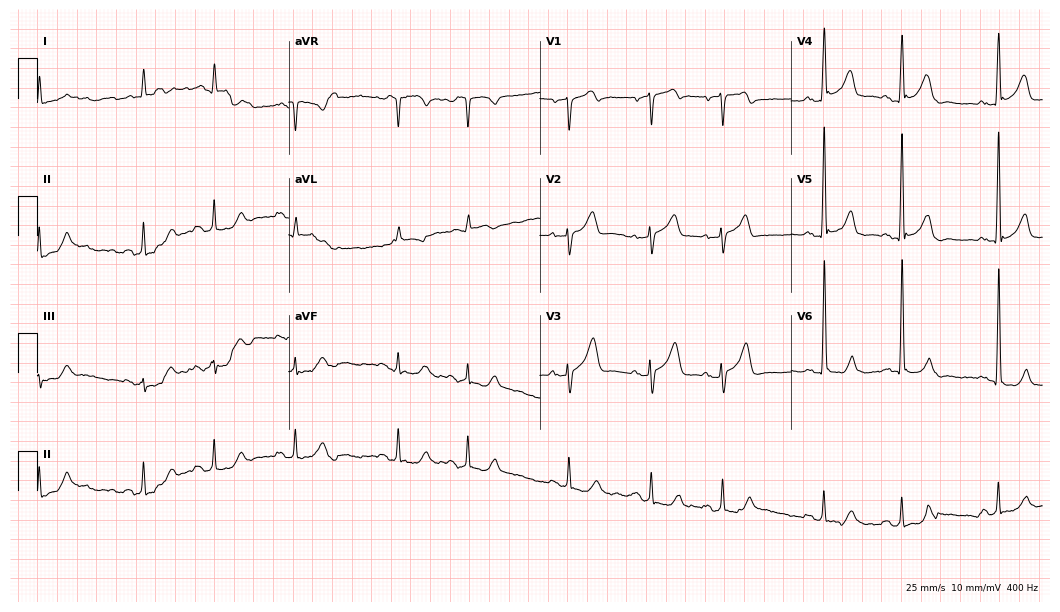
12-lead ECG from a 78-year-old male patient. No first-degree AV block, right bundle branch block, left bundle branch block, sinus bradycardia, atrial fibrillation or sinus tachycardia recorded for this tracing. Only these six findings were labelled.